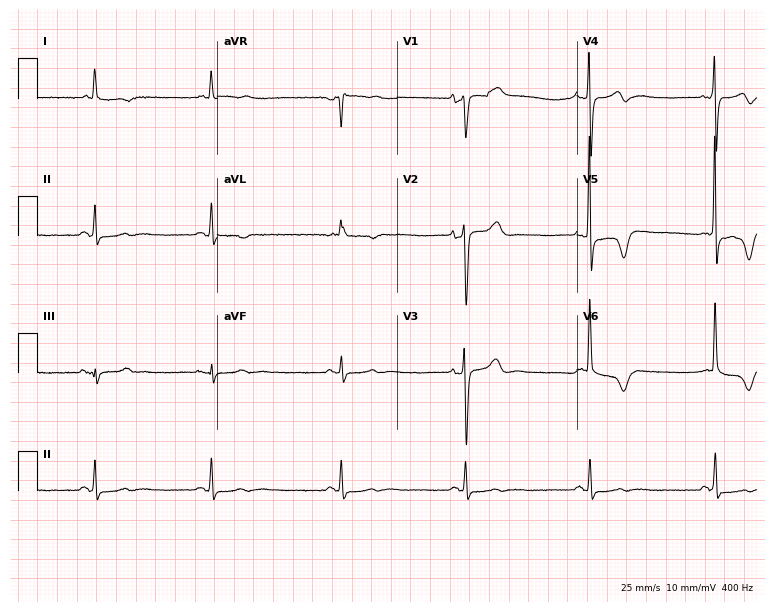
12-lead ECG from an 82-year-old male patient. Findings include sinus bradycardia (a sinus rate of 50 beats per minute or less).